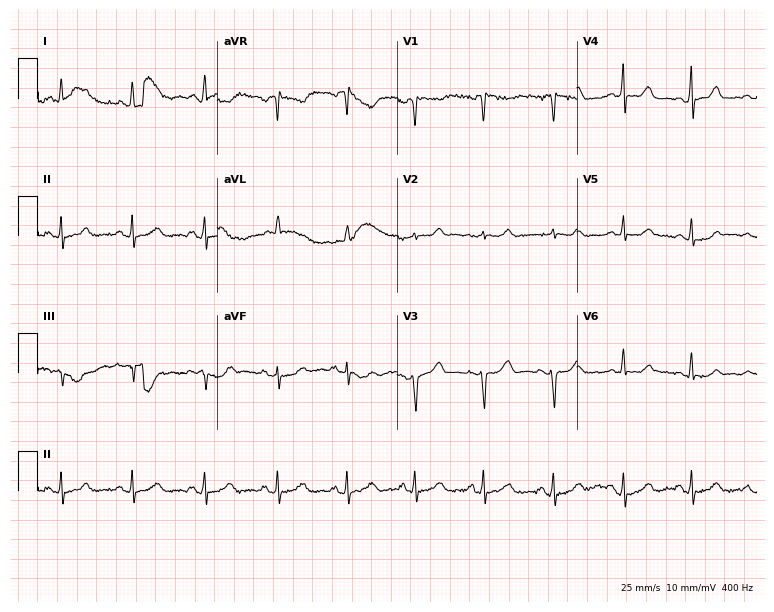
Standard 12-lead ECG recorded from a female, 49 years old. Read as a normal ECG.